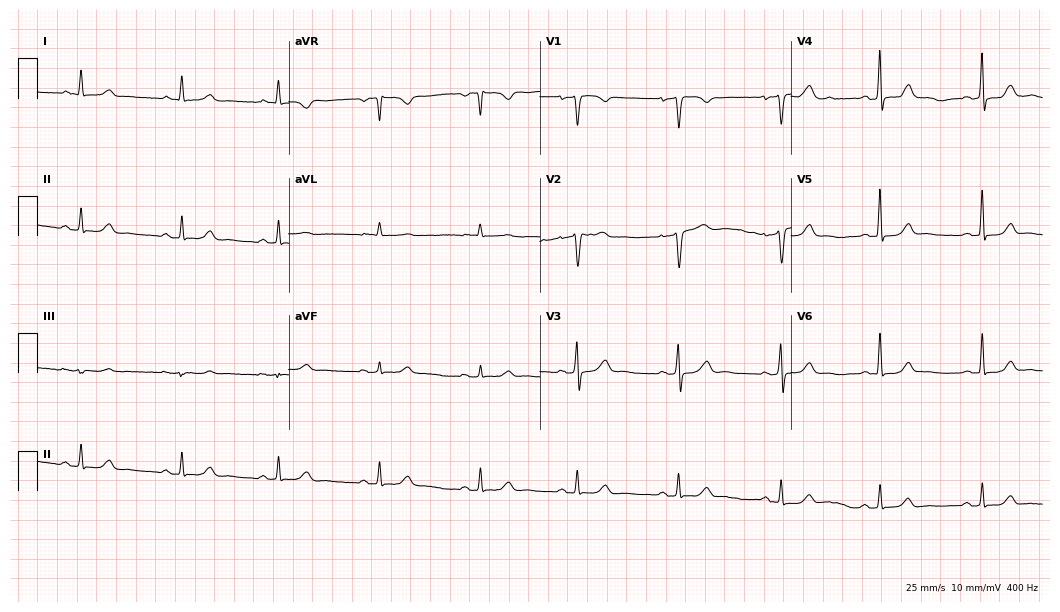
Resting 12-lead electrocardiogram (10.2-second recording at 400 Hz). Patient: a 53-year-old female. Read as a normal ECG.